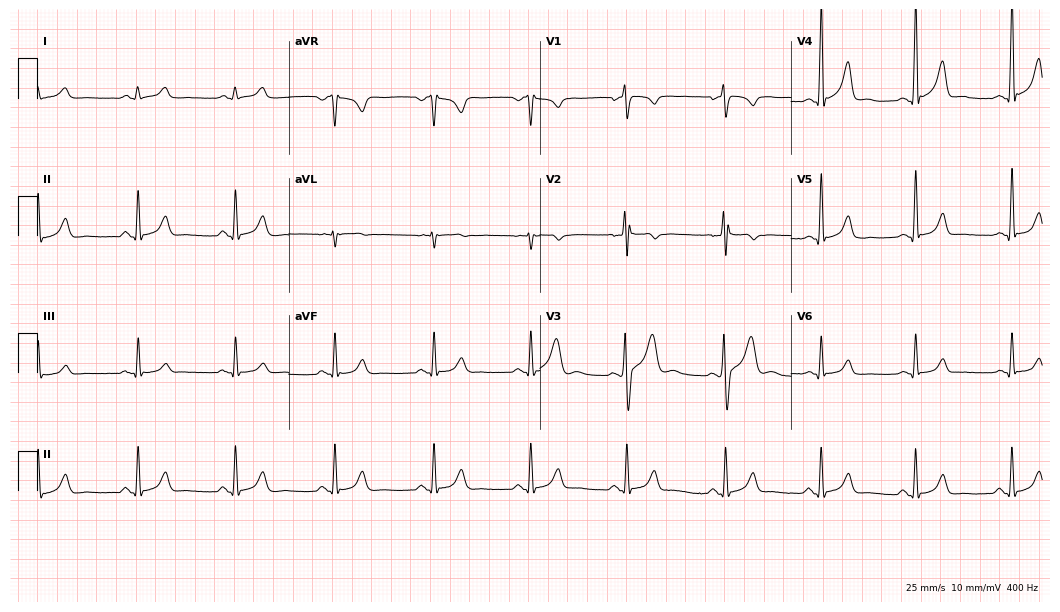
Electrocardiogram, a male patient, 24 years old. Overall reading on record: normal ECG.